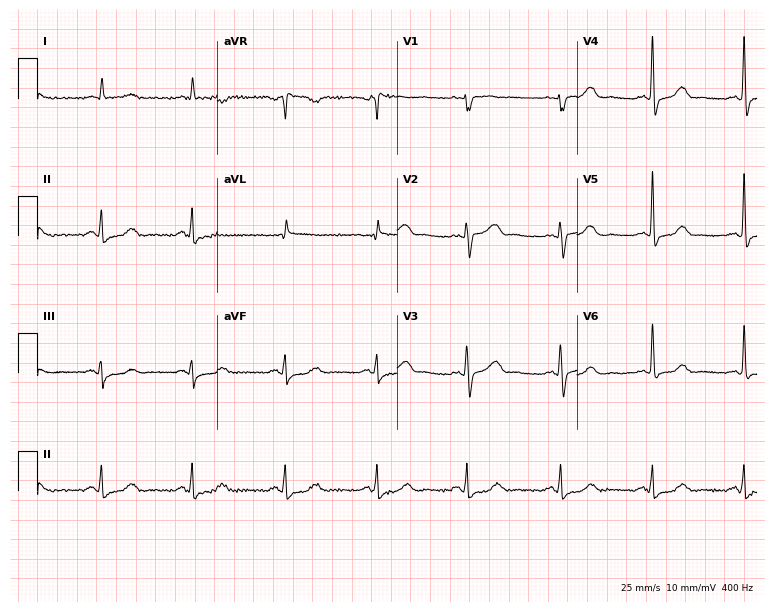
12-lead ECG from a 64-year-old female patient. No first-degree AV block, right bundle branch block (RBBB), left bundle branch block (LBBB), sinus bradycardia, atrial fibrillation (AF) or sinus tachycardia recorded for this tracing. Only these six findings were labelled.